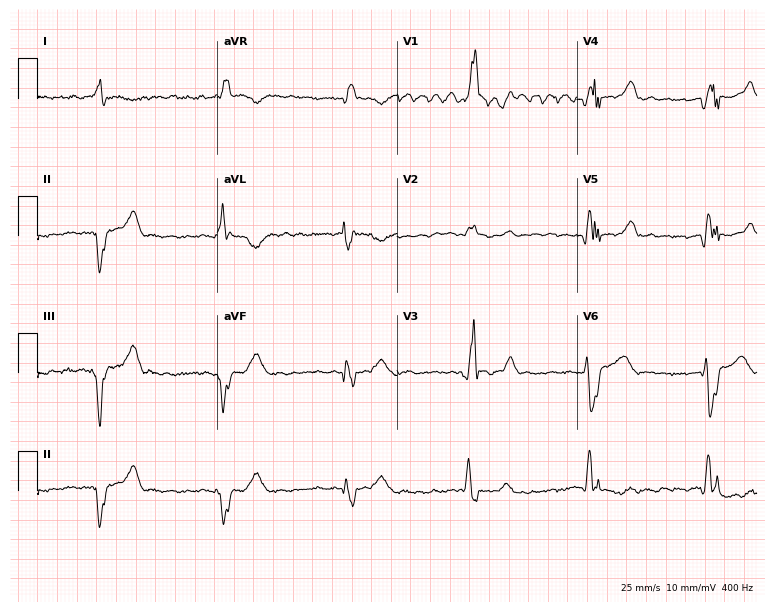
12-lead ECG from a man, 52 years old. Findings include right bundle branch block (RBBB).